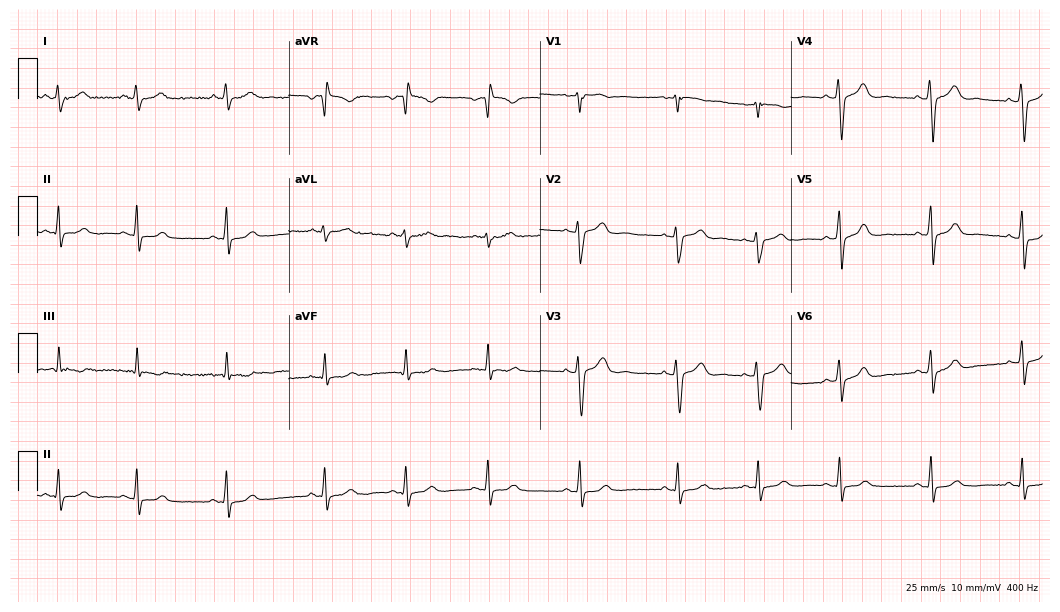
Standard 12-lead ECG recorded from a 35-year-old female (10.2-second recording at 400 Hz). None of these six findings is recorded: first-degree AV block, right bundle branch block (RBBB), left bundle branch block (LBBB), sinus bradycardia, atrial fibrillation (AF), sinus tachycardia. Other findings, if any, are not listed.